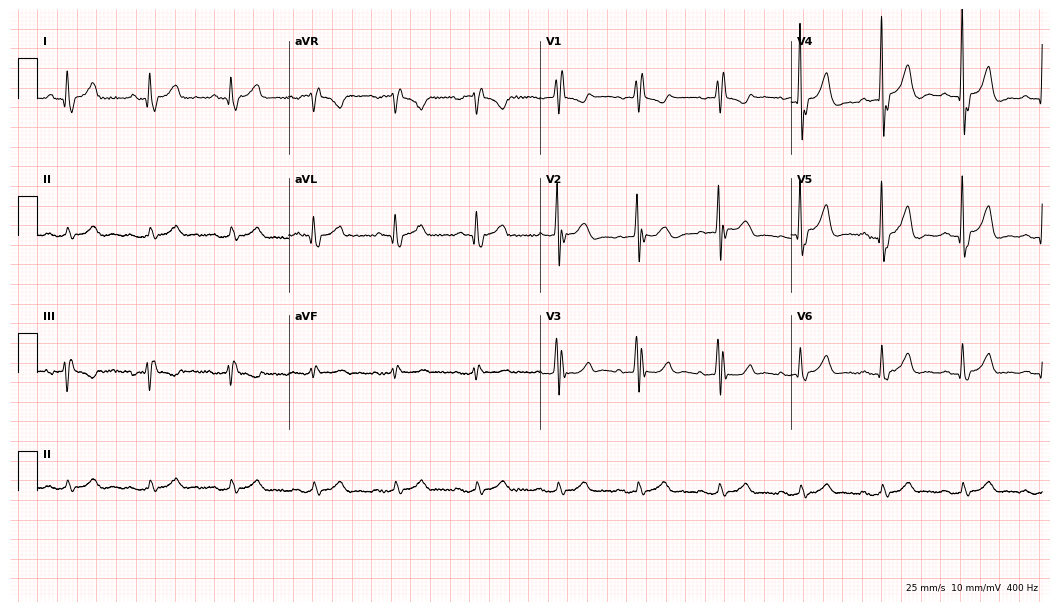
12-lead ECG from a female, 75 years old. Shows right bundle branch block.